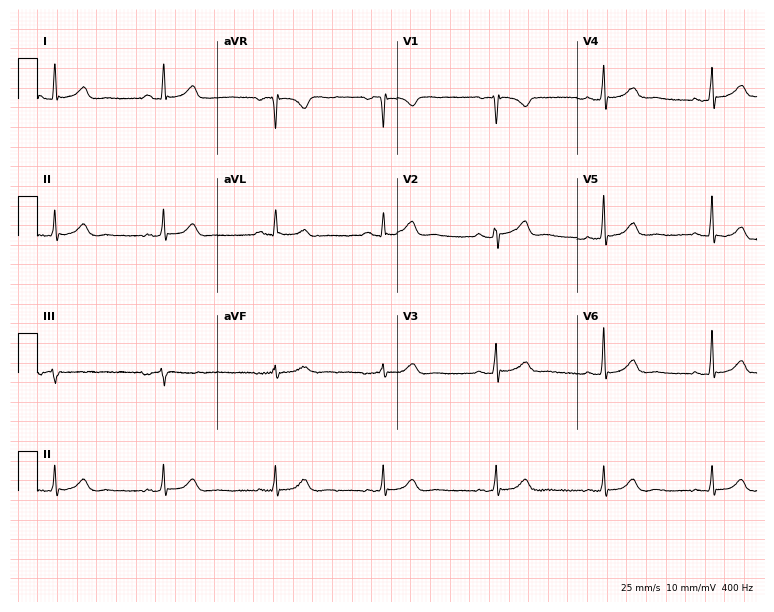
12-lead ECG from a female patient, 60 years old (7.3-second recording at 400 Hz). Recorded interpretation: within normal limits.